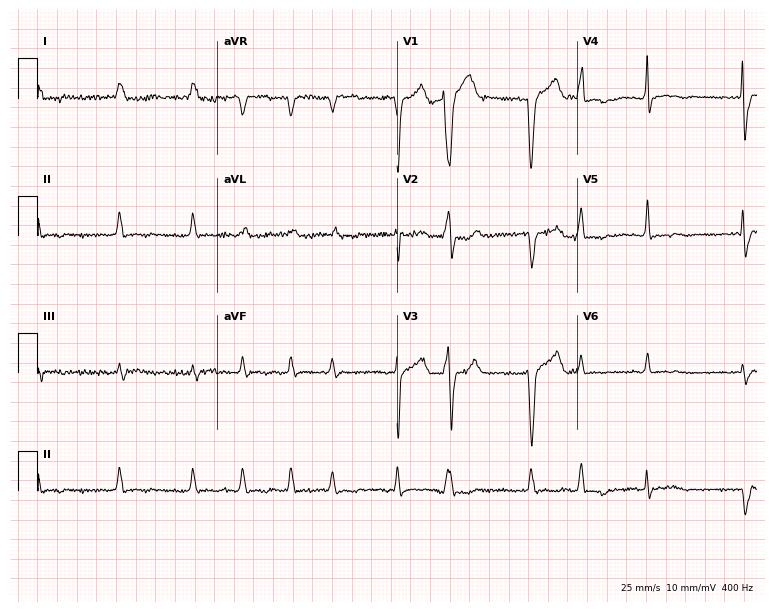
ECG — an 81-year-old woman. Findings include atrial fibrillation (AF).